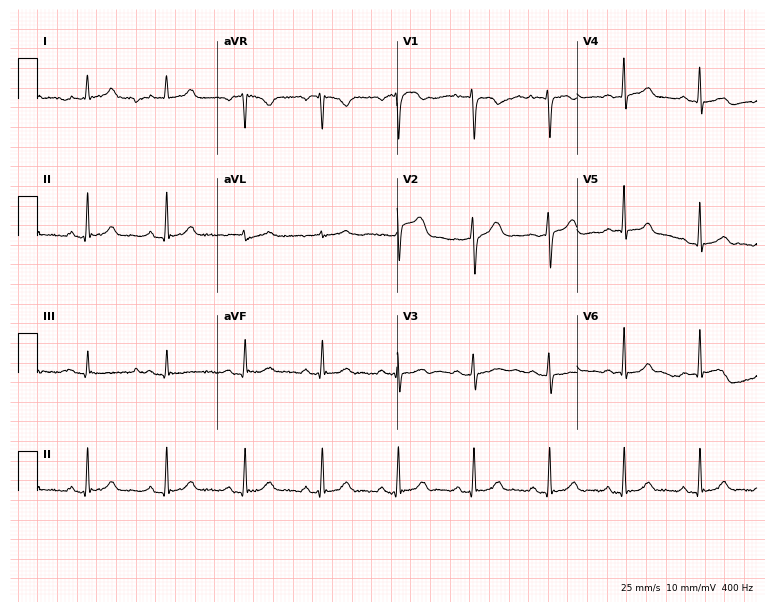
Standard 12-lead ECG recorded from a 47-year-old woman (7.3-second recording at 400 Hz). Read as a normal ECG.